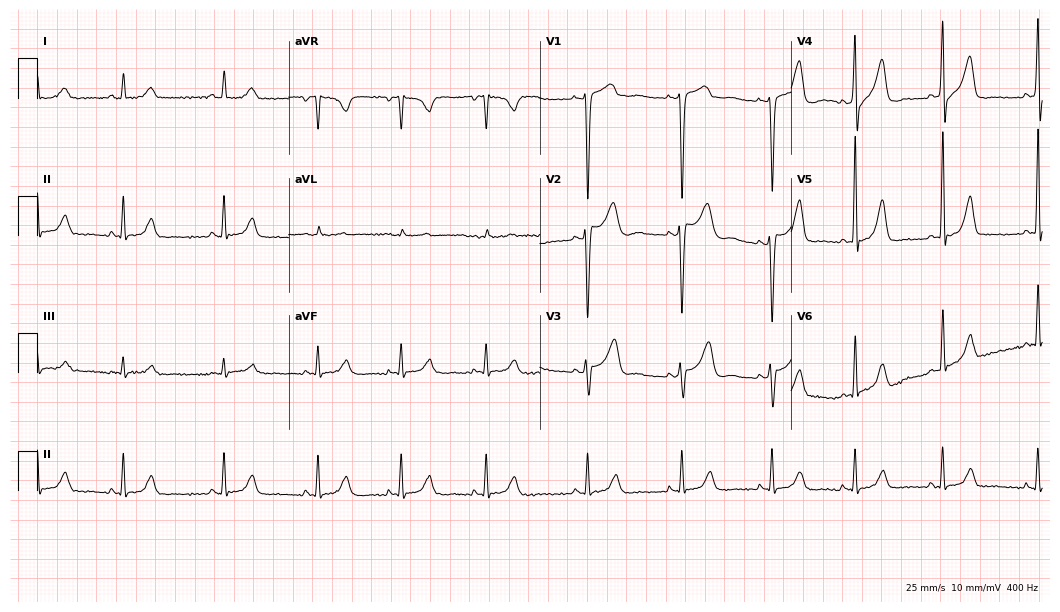
Resting 12-lead electrocardiogram. Patient: a 45-year-old female. Read as a normal ECG.